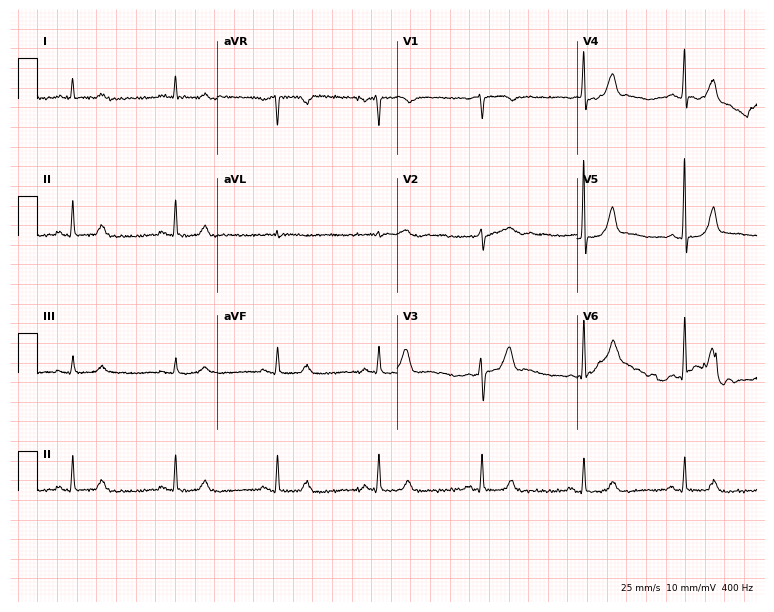
Resting 12-lead electrocardiogram. Patient: a 77-year-old male. Read as a normal ECG.